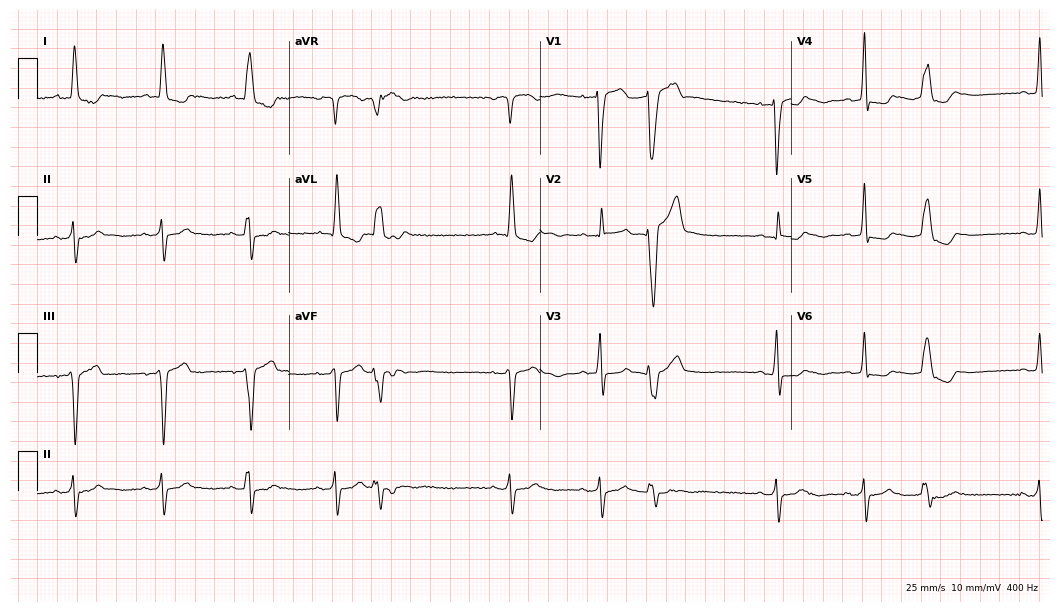
12-lead ECG from an 82-year-old female. Screened for six findings — first-degree AV block, right bundle branch block, left bundle branch block, sinus bradycardia, atrial fibrillation, sinus tachycardia — none is recorded. Other findings, if any, are not listed.